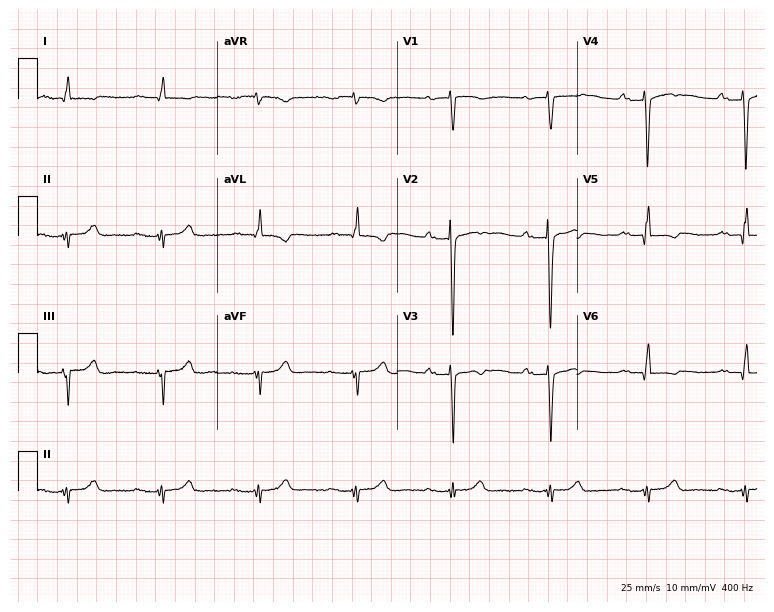
12-lead ECG from a man, 78 years old (7.3-second recording at 400 Hz). Shows first-degree AV block.